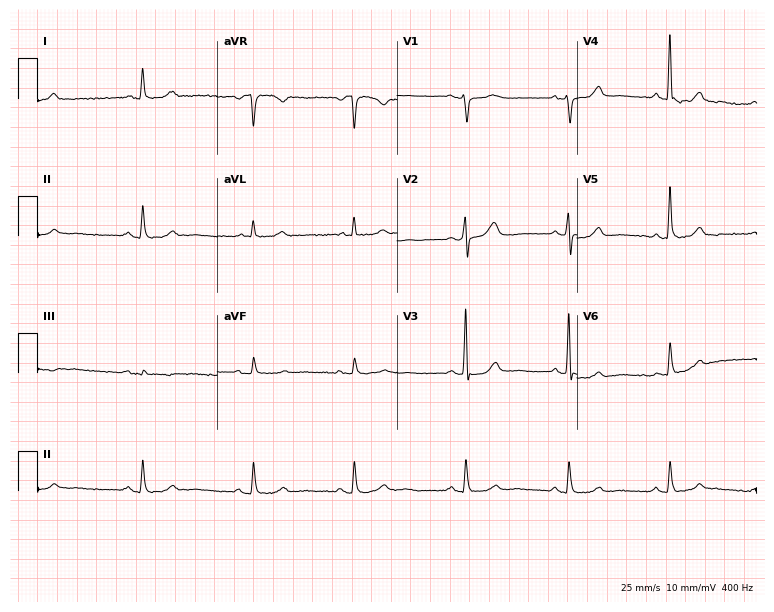
ECG (7.3-second recording at 400 Hz) — a 79-year-old female patient. Screened for six findings — first-degree AV block, right bundle branch block, left bundle branch block, sinus bradycardia, atrial fibrillation, sinus tachycardia — none is recorded. Findings outside these six are not listed.